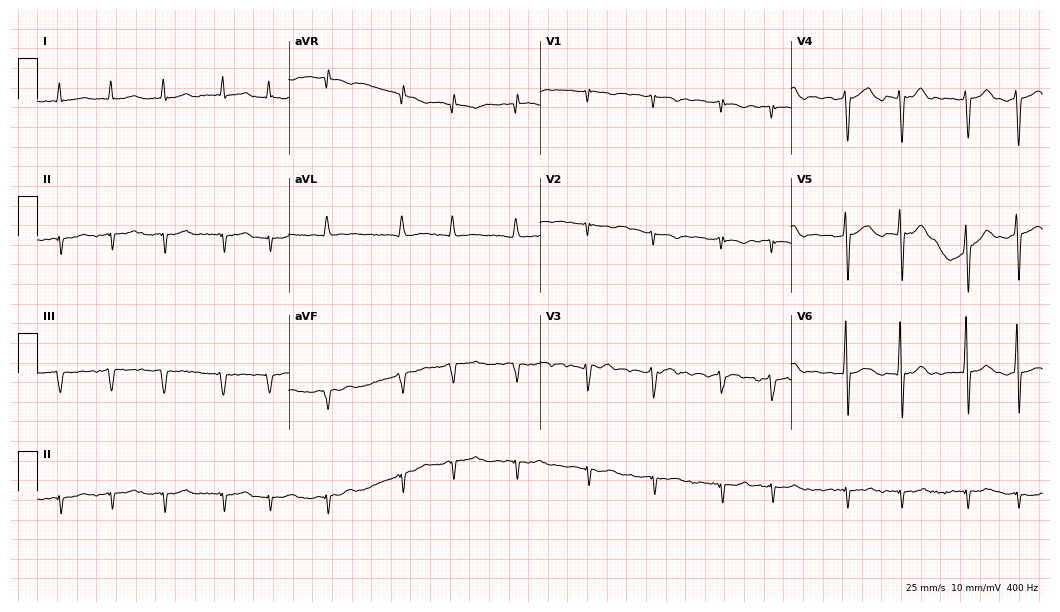
Electrocardiogram, a man, 73 years old. Interpretation includes atrial fibrillation.